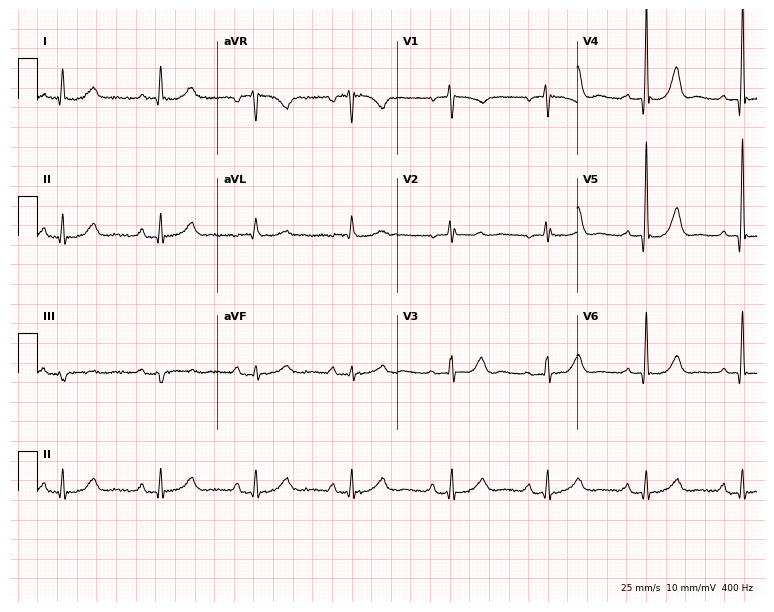
Resting 12-lead electrocardiogram (7.3-second recording at 400 Hz). Patient: a woman, 78 years old. None of these six findings is recorded: first-degree AV block, right bundle branch block, left bundle branch block, sinus bradycardia, atrial fibrillation, sinus tachycardia. Findings outside these six are not listed.